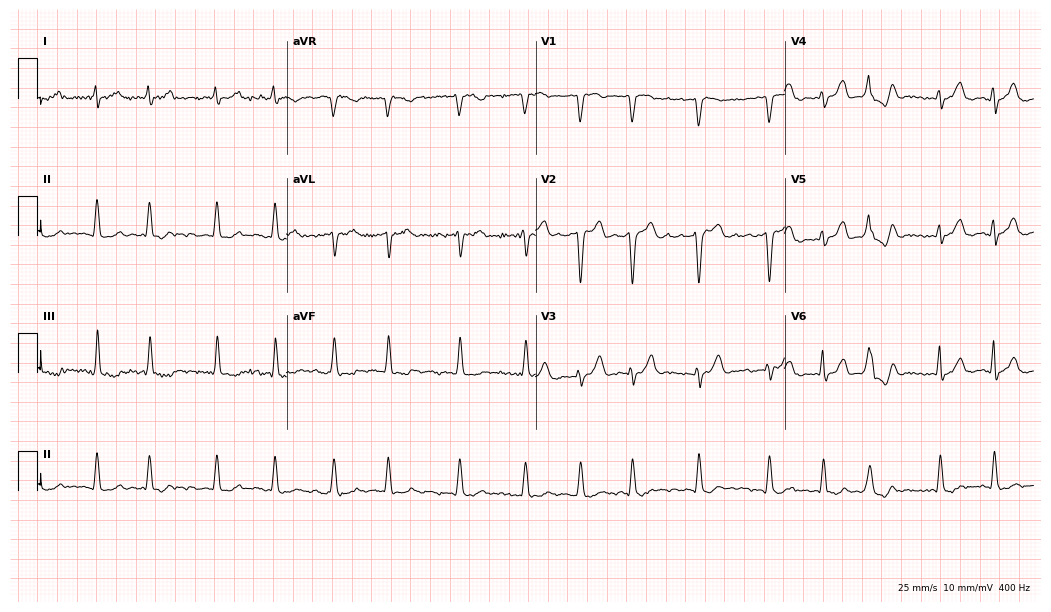
12-lead ECG from a male patient, 74 years old. Findings include atrial fibrillation.